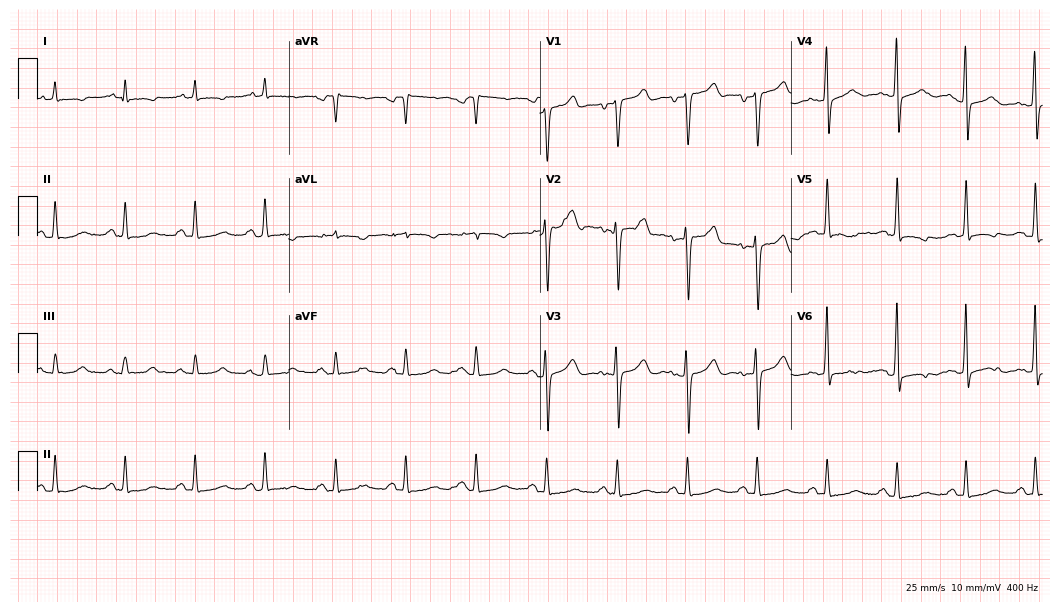
Standard 12-lead ECG recorded from a 76-year-old male patient. None of these six findings is recorded: first-degree AV block, right bundle branch block, left bundle branch block, sinus bradycardia, atrial fibrillation, sinus tachycardia.